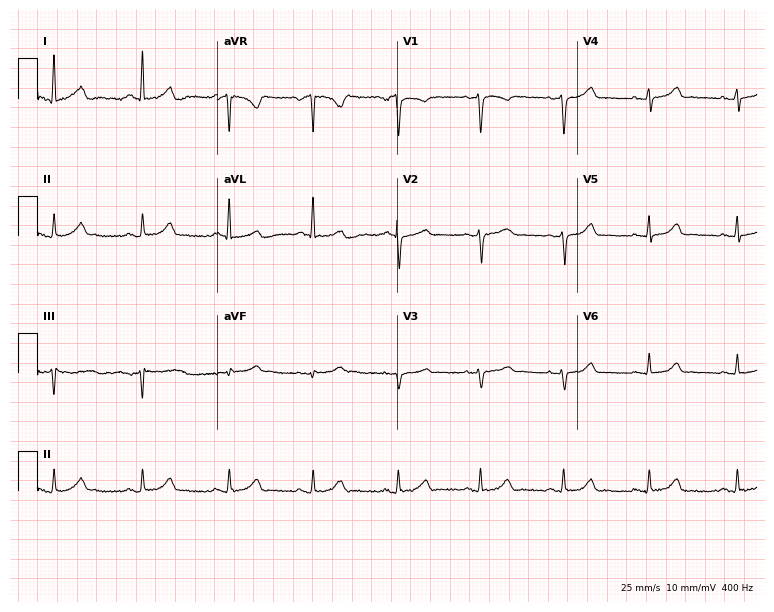
12-lead ECG from a 44-year-old female. Labelled as a normal ECG.